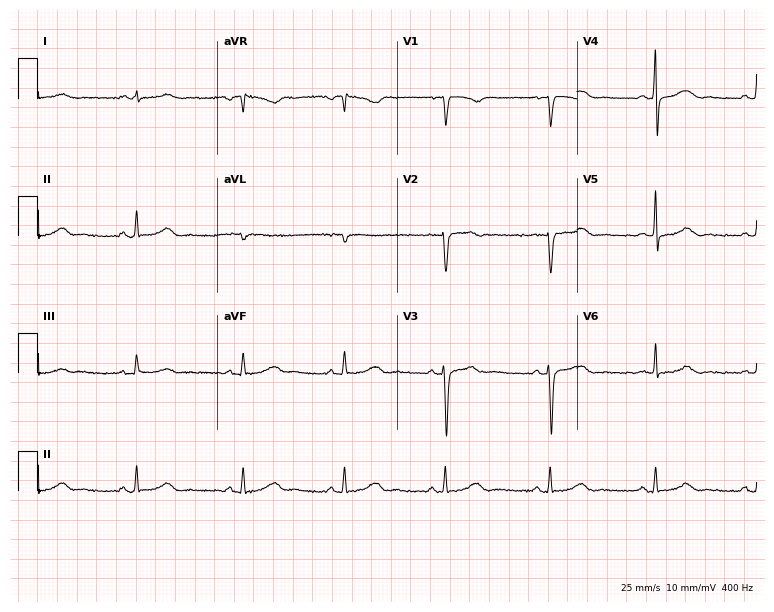
Standard 12-lead ECG recorded from a woman, 60 years old. Read as a normal ECG.